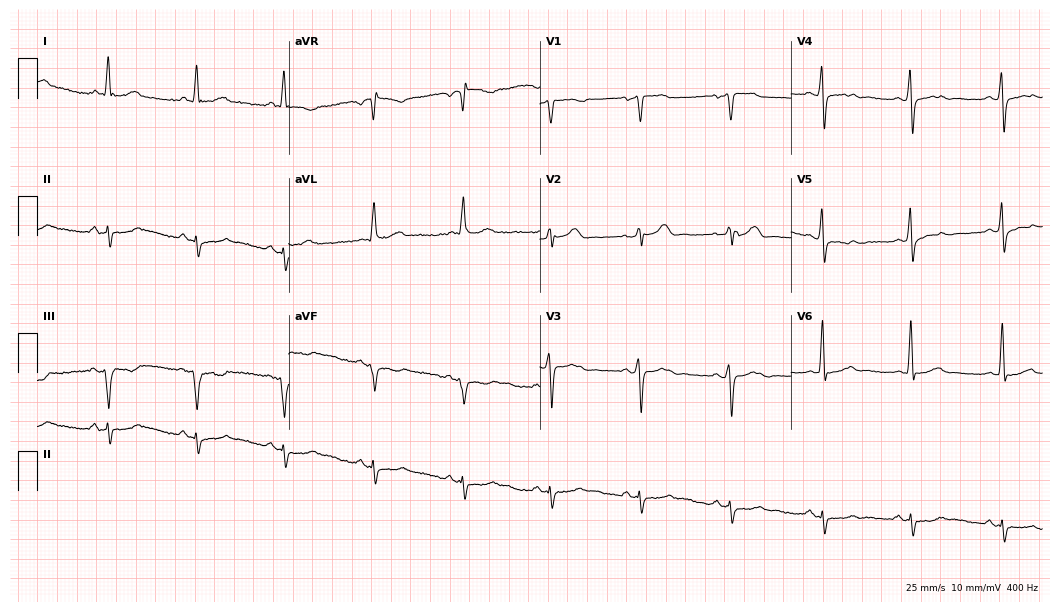
Electrocardiogram, a male patient, 40 years old. Of the six screened findings (first-degree AV block, right bundle branch block, left bundle branch block, sinus bradycardia, atrial fibrillation, sinus tachycardia), none is recorded. Other findings, if any, are not listed.